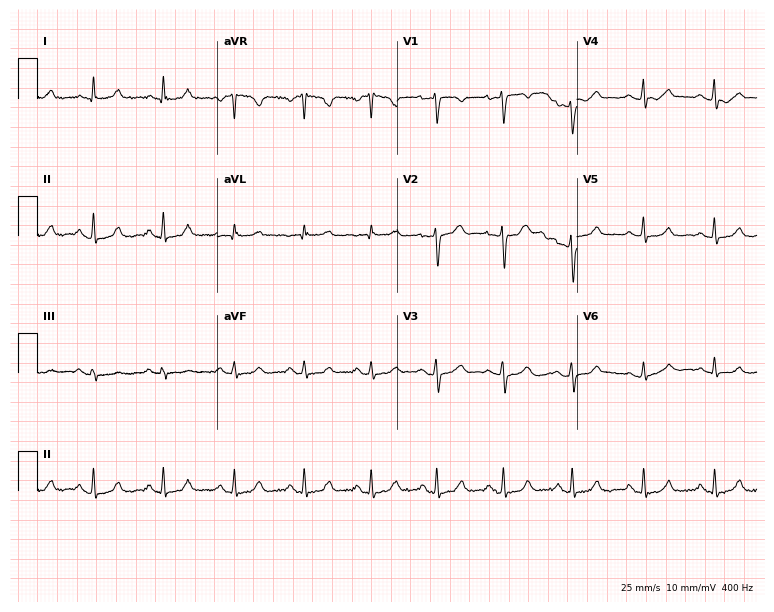
12-lead ECG (7.3-second recording at 400 Hz) from a 33-year-old female patient. Labelled as a normal ECG.